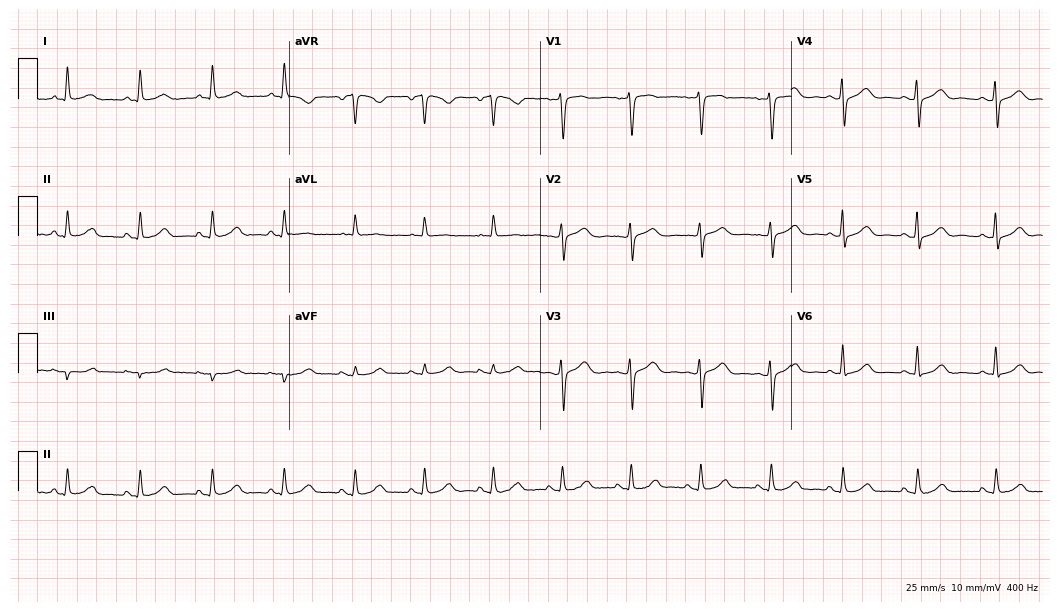
Standard 12-lead ECG recorded from a female patient, 58 years old. Read as a normal ECG.